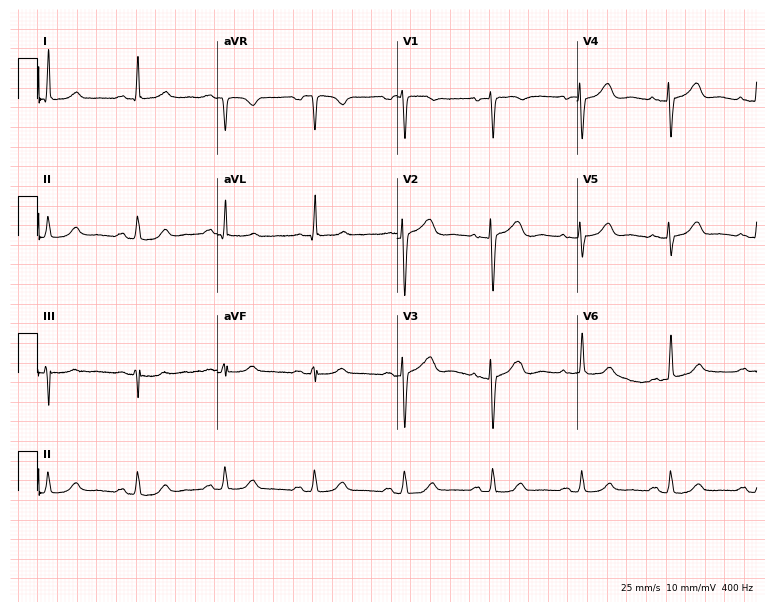
12-lead ECG (7.3-second recording at 400 Hz) from a 54-year-old woman. Labelled as a normal ECG.